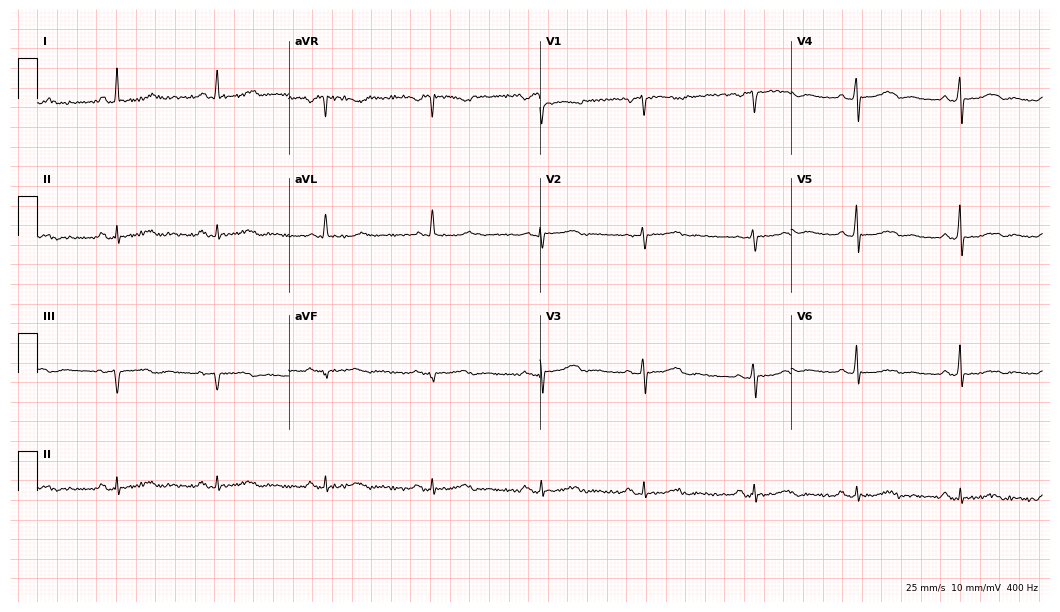
12-lead ECG from a 63-year-old female. Screened for six findings — first-degree AV block, right bundle branch block, left bundle branch block, sinus bradycardia, atrial fibrillation, sinus tachycardia — none is recorded. Other findings, if any, are not listed.